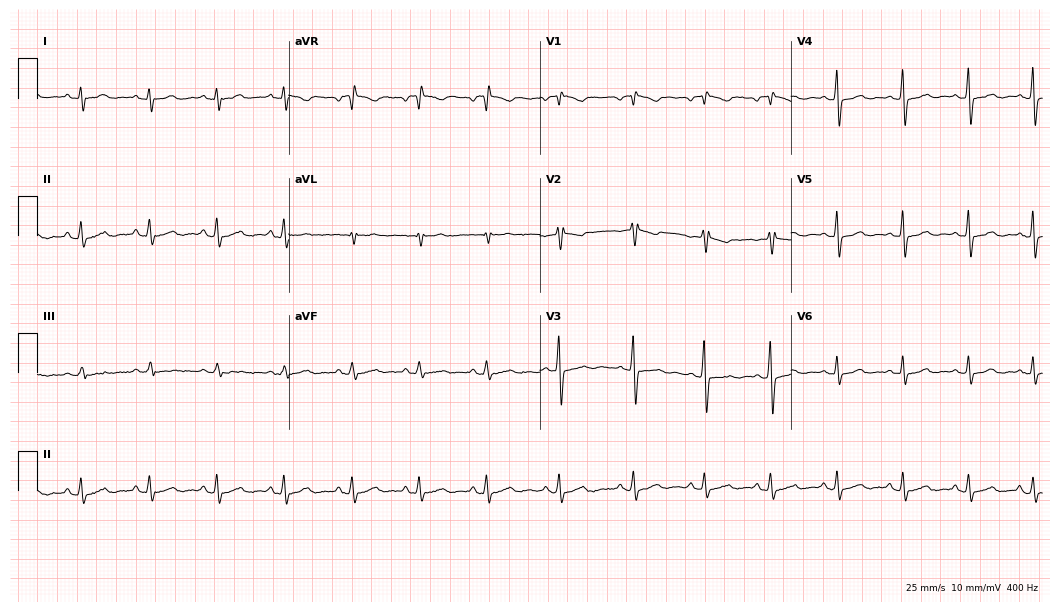
Electrocardiogram (10.2-second recording at 400 Hz), a 20-year-old female patient. Of the six screened findings (first-degree AV block, right bundle branch block, left bundle branch block, sinus bradycardia, atrial fibrillation, sinus tachycardia), none is recorded.